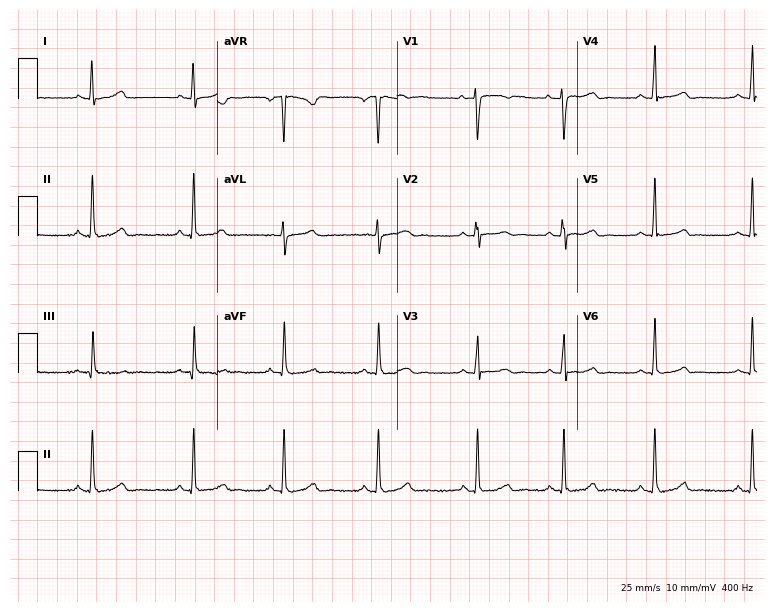
Standard 12-lead ECG recorded from a 28-year-old female patient (7.3-second recording at 400 Hz). Read as a normal ECG.